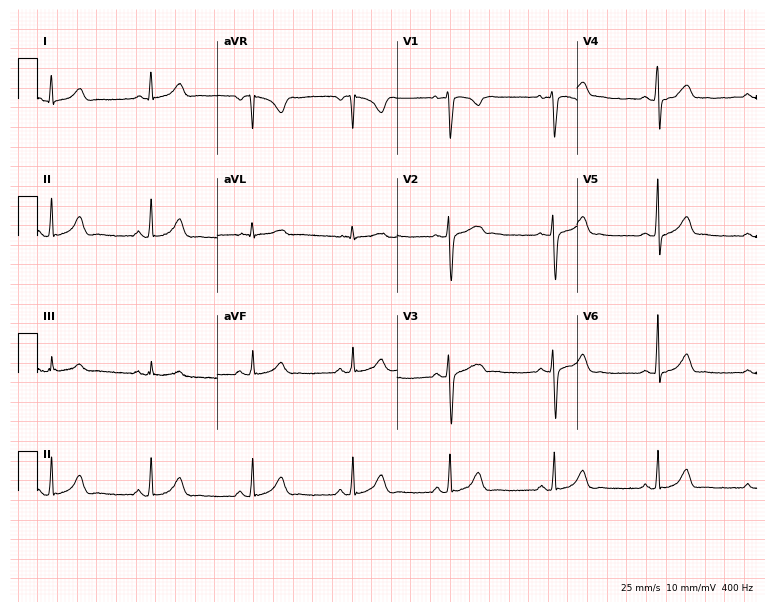
Electrocardiogram (7.3-second recording at 400 Hz), a female, 24 years old. Overall reading on record: normal ECG.